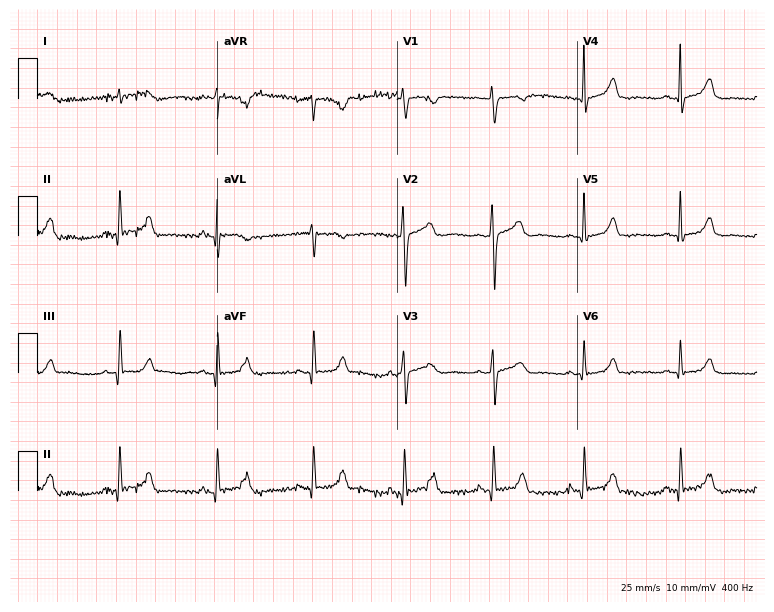
Standard 12-lead ECG recorded from a male patient, 38 years old. Read as a normal ECG.